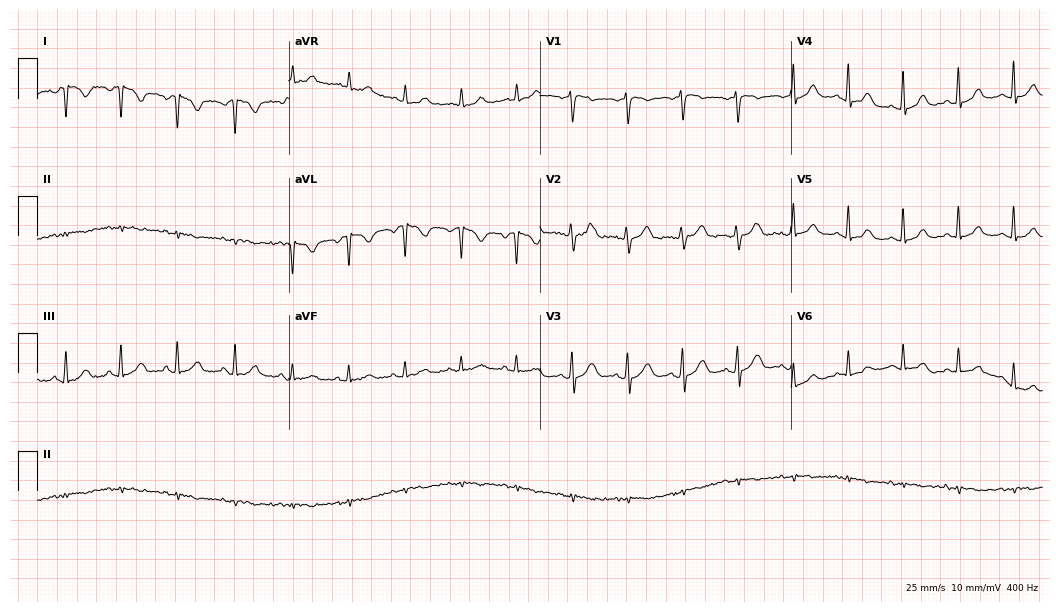
Resting 12-lead electrocardiogram (10.2-second recording at 400 Hz). Patient: a woman, 27 years old. The tracing shows sinus tachycardia (a sinus rate of 100 beats per minute or more).